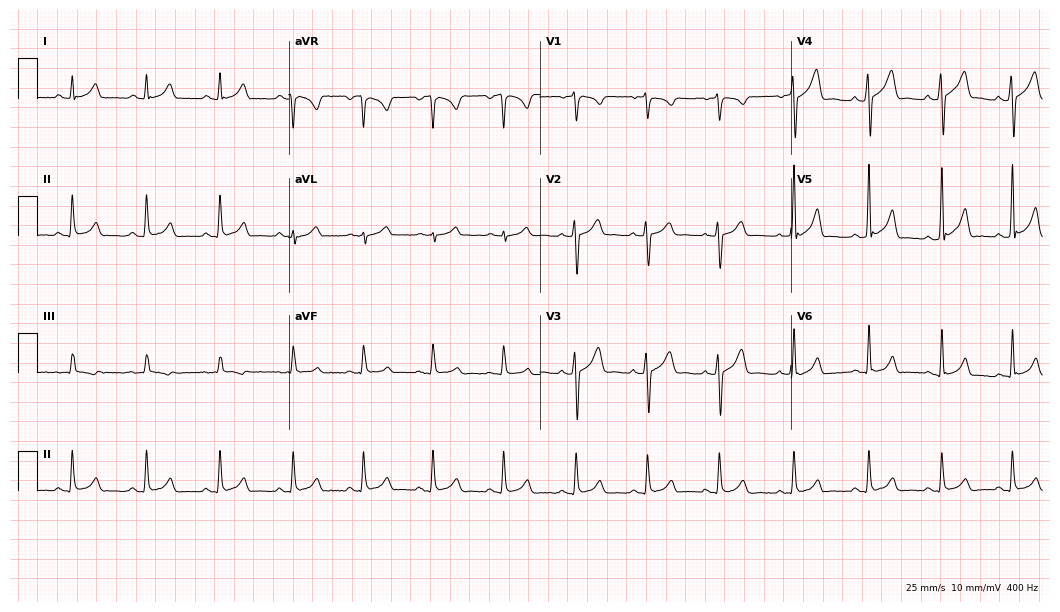
Standard 12-lead ECG recorded from a man, 36 years old. Read as a normal ECG.